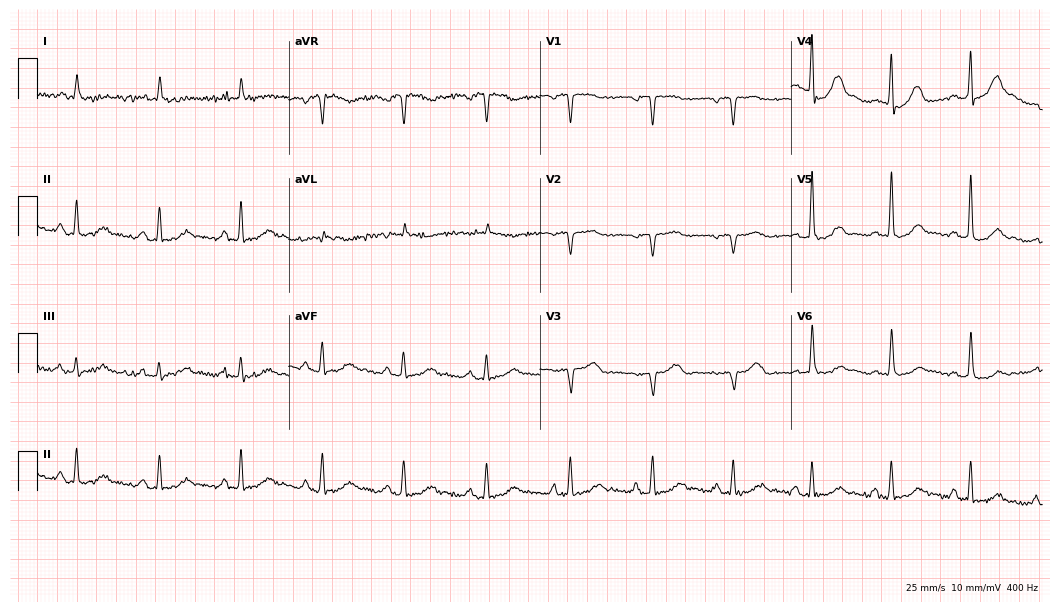
Standard 12-lead ECG recorded from a 71-year-old male (10.2-second recording at 400 Hz). None of these six findings is recorded: first-degree AV block, right bundle branch block (RBBB), left bundle branch block (LBBB), sinus bradycardia, atrial fibrillation (AF), sinus tachycardia. Other findings, if any, are not listed.